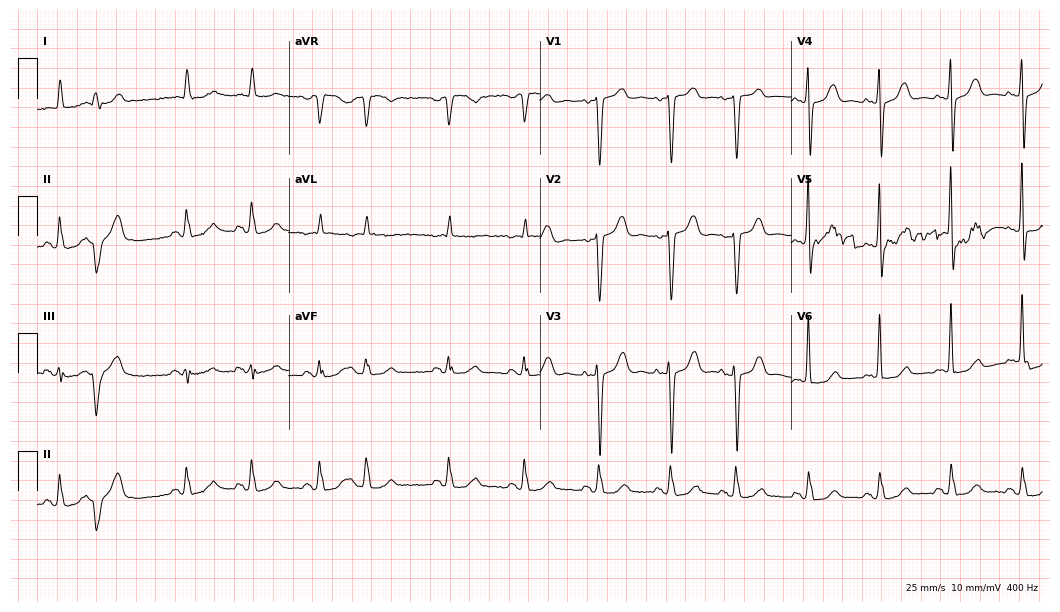
Resting 12-lead electrocardiogram. Patient: an 80-year-old woman. None of these six findings is recorded: first-degree AV block, right bundle branch block, left bundle branch block, sinus bradycardia, atrial fibrillation, sinus tachycardia.